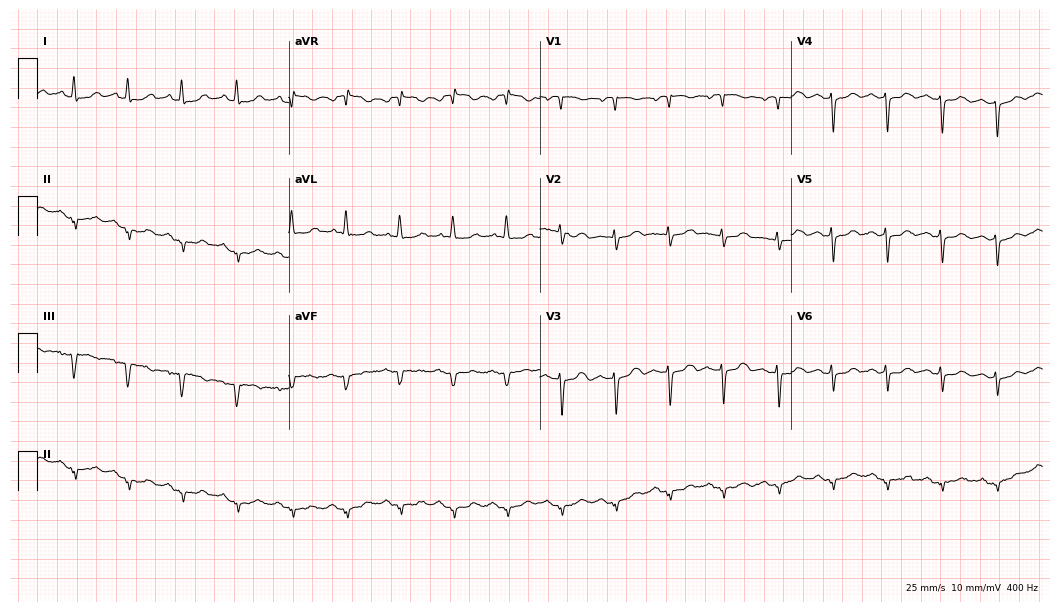
Resting 12-lead electrocardiogram (10.2-second recording at 400 Hz). Patient: a 56-year-old female. The tracing shows sinus tachycardia (a sinus rate of 100 beats per minute or more).